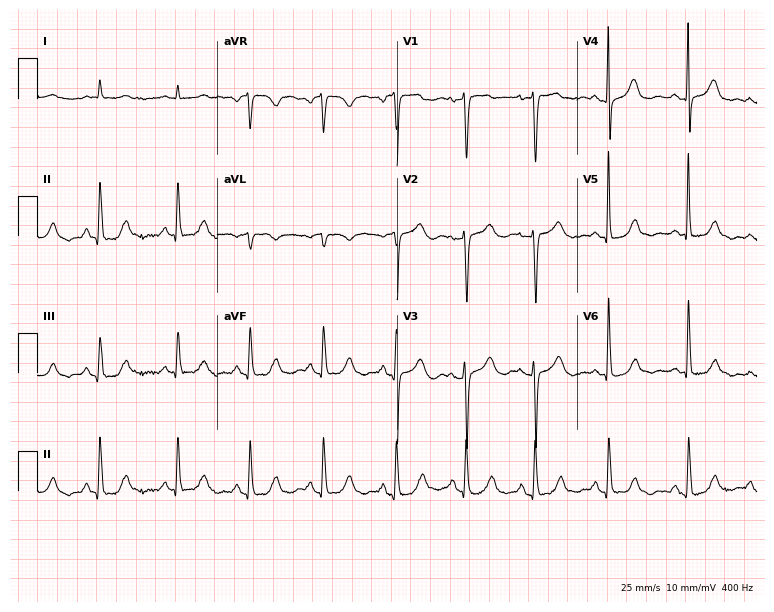
12-lead ECG from a female patient, 68 years old. No first-degree AV block, right bundle branch block (RBBB), left bundle branch block (LBBB), sinus bradycardia, atrial fibrillation (AF) or sinus tachycardia recorded for this tracing. Only these six findings were labelled.